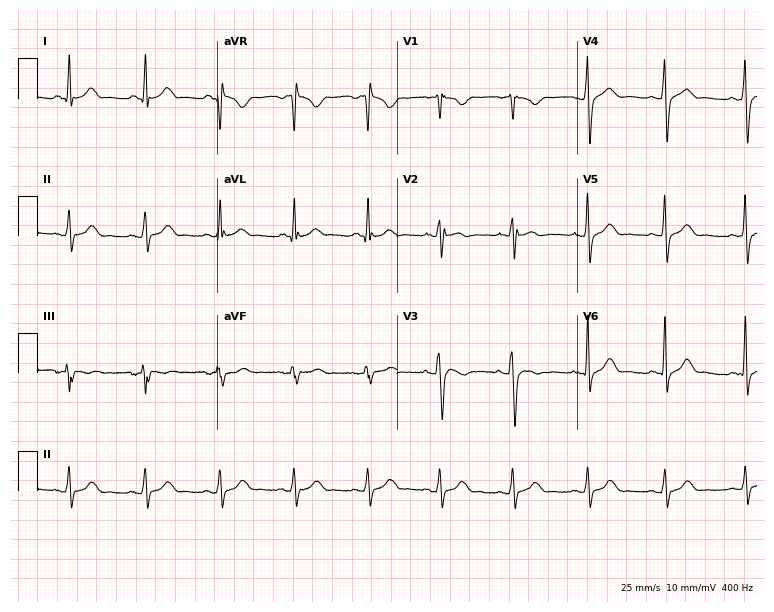
12-lead ECG from a 31-year-old male patient. Recorded interpretation: within normal limits.